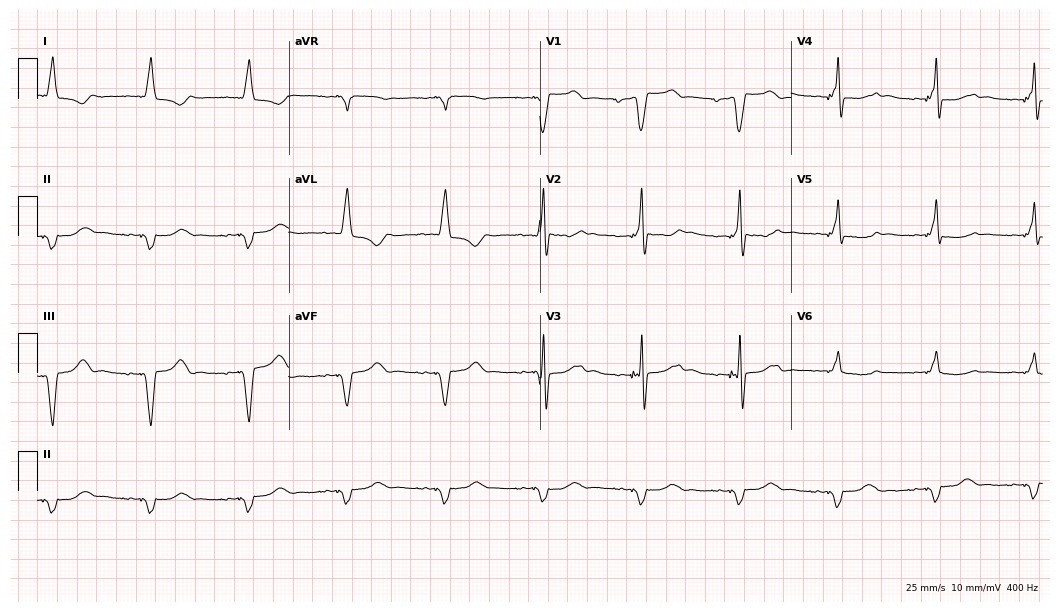
Standard 12-lead ECG recorded from an 80-year-old female. None of these six findings is recorded: first-degree AV block, right bundle branch block (RBBB), left bundle branch block (LBBB), sinus bradycardia, atrial fibrillation (AF), sinus tachycardia.